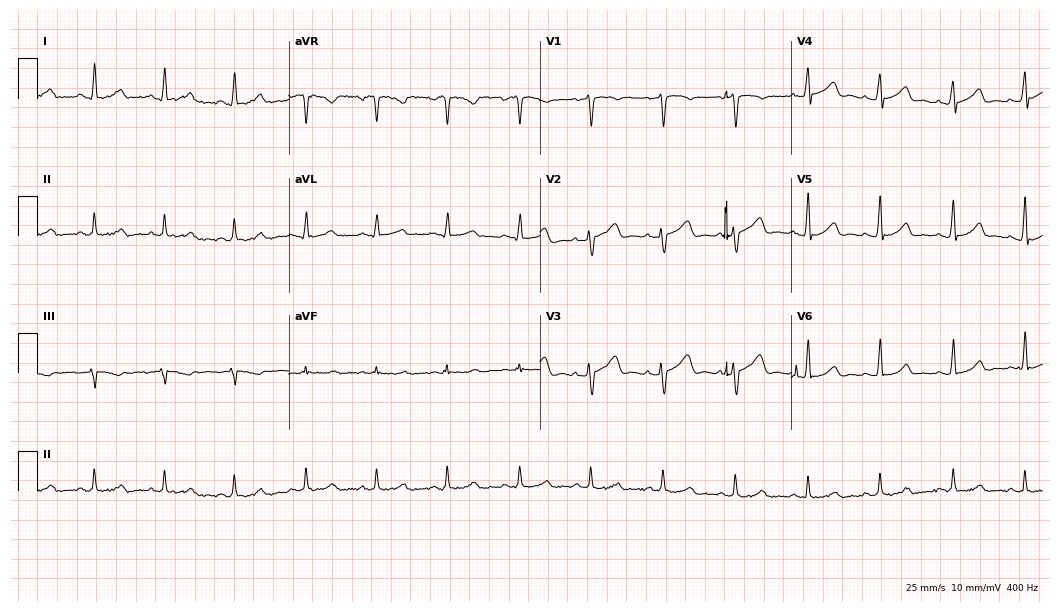
Standard 12-lead ECG recorded from a 42-year-old female. Read as a normal ECG.